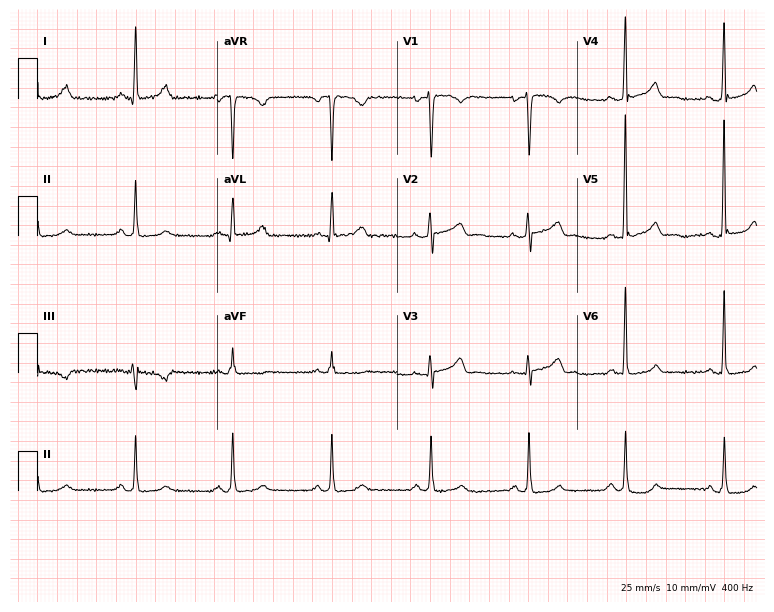
12-lead ECG (7.3-second recording at 400 Hz) from a female patient, 52 years old. Screened for six findings — first-degree AV block, right bundle branch block, left bundle branch block, sinus bradycardia, atrial fibrillation, sinus tachycardia — none is recorded.